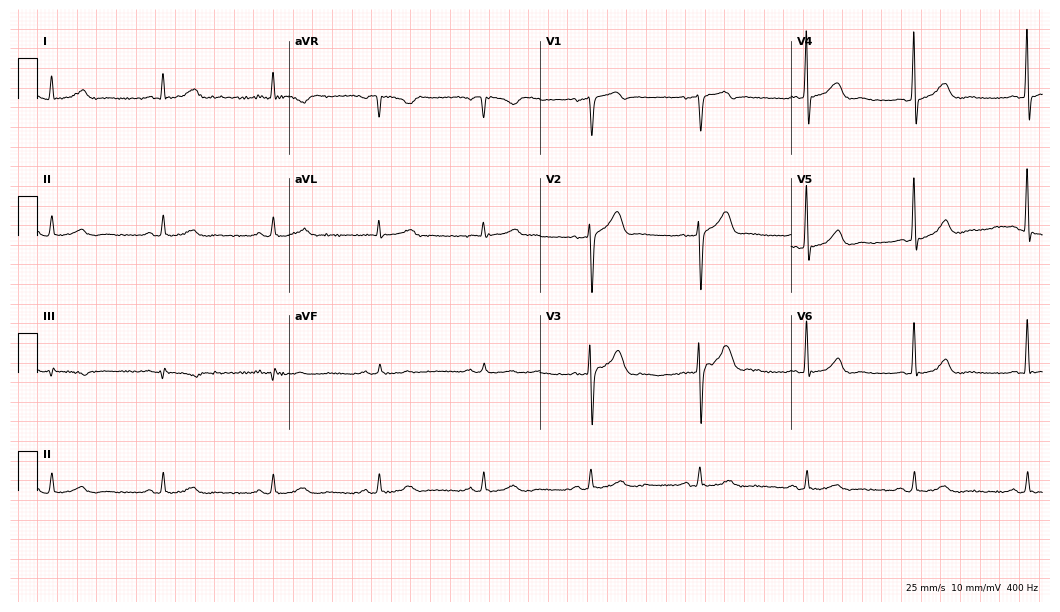
12-lead ECG (10.2-second recording at 400 Hz) from a male, 59 years old. Labelled as a normal ECG.